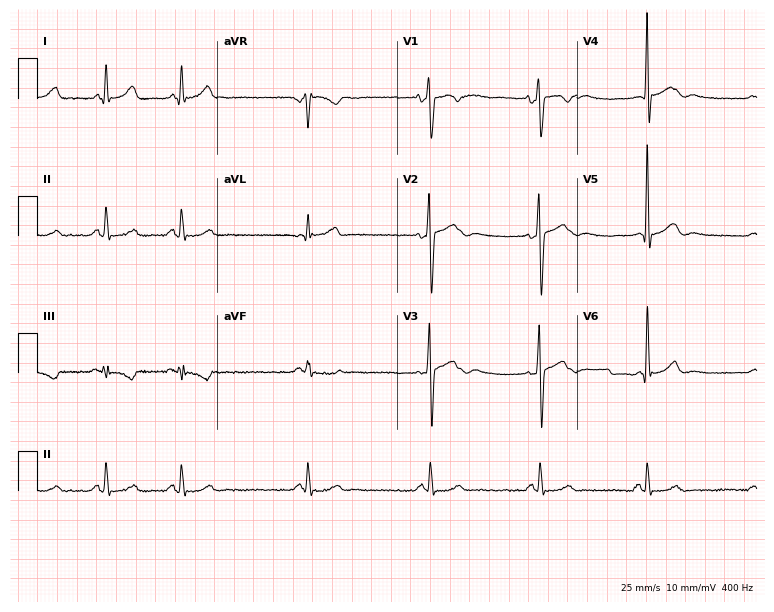
Standard 12-lead ECG recorded from a 27-year-old man. Read as a normal ECG.